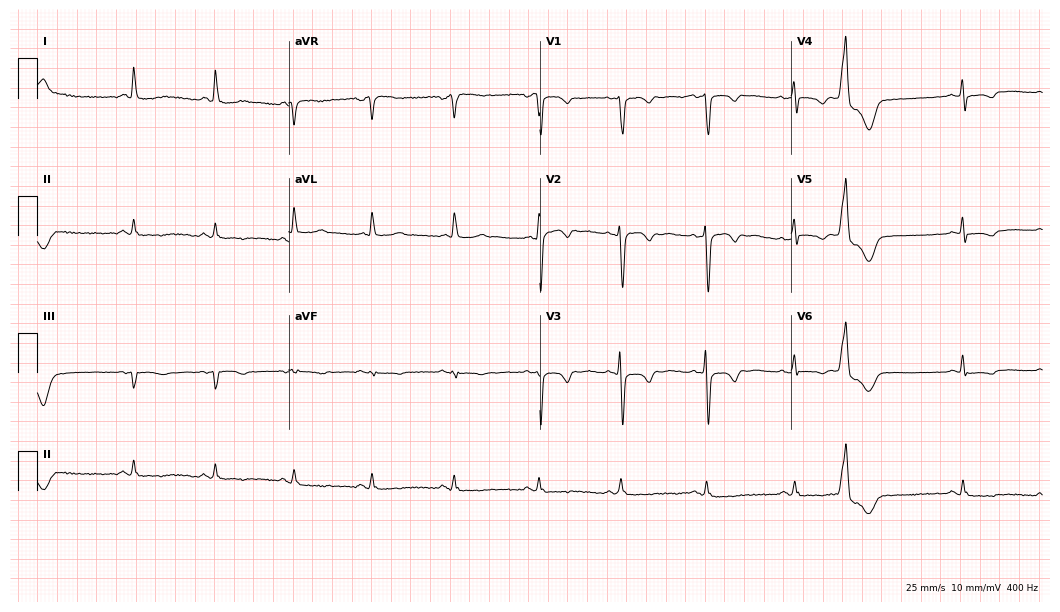
ECG (10.2-second recording at 400 Hz) — a 53-year-old female. Screened for six findings — first-degree AV block, right bundle branch block (RBBB), left bundle branch block (LBBB), sinus bradycardia, atrial fibrillation (AF), sinus tachycardia — none is recorded.